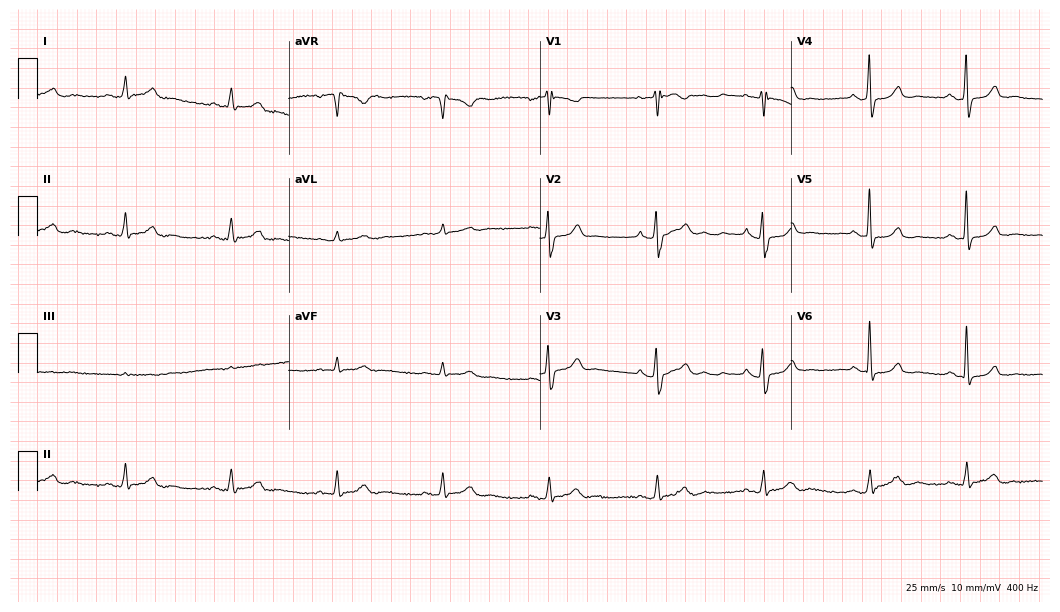
Resting 12-lead electrocardiogram (10.2-second recording at 400 Hz). Patient: a 45-year-old female. Read as a normal ECG.